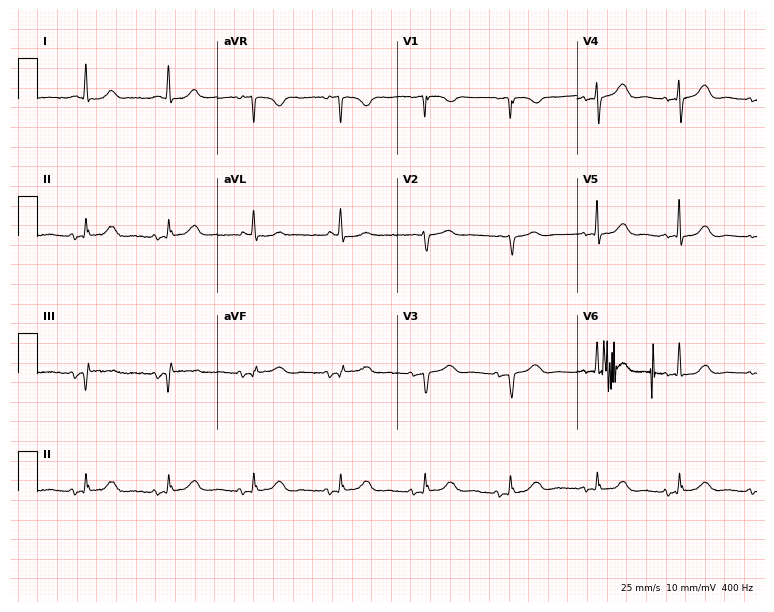
Standard 12-lead ECG recorded from a woman, 79 years old (7.3-second recording at 400 Hz). Read as a normal ECG.